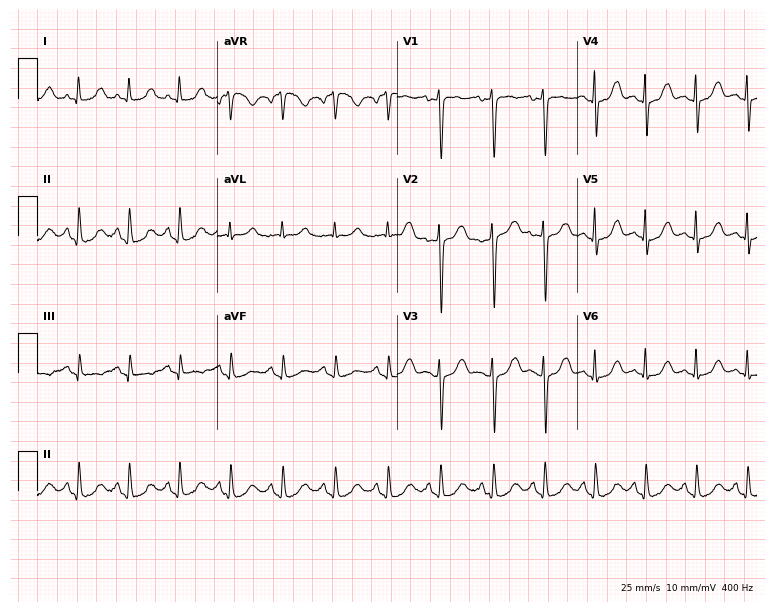
Standard 12-lead ECG recorded from a female patient, 49 years old. The tracing shows sinus tachycardia (a sinus rate of 100 beats per minute or more).